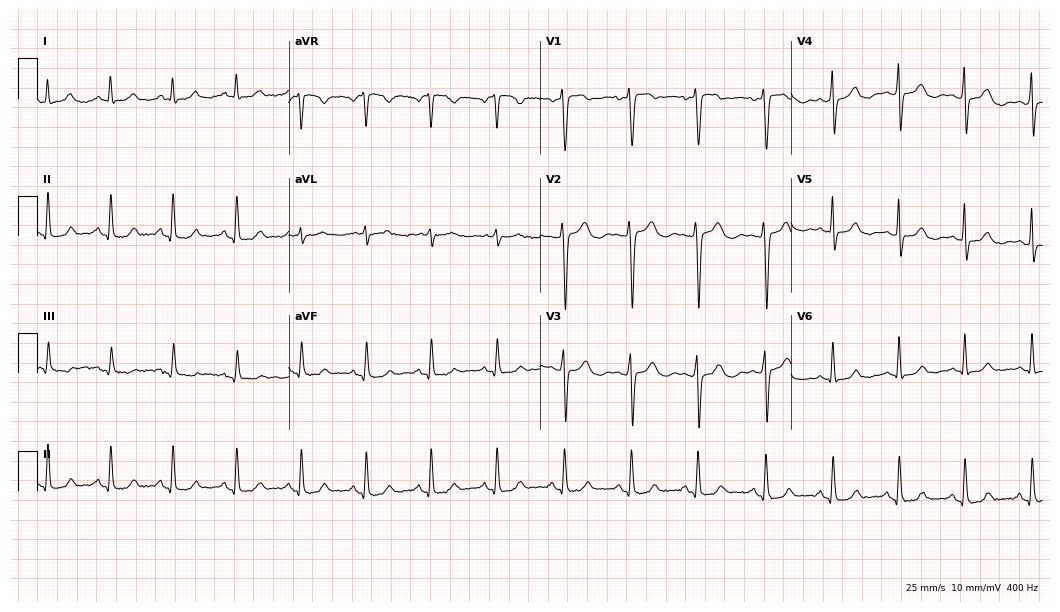
Resting 12-lead electrocardiogram. Patient: a 48-year-old female. Read as a normal ECG.